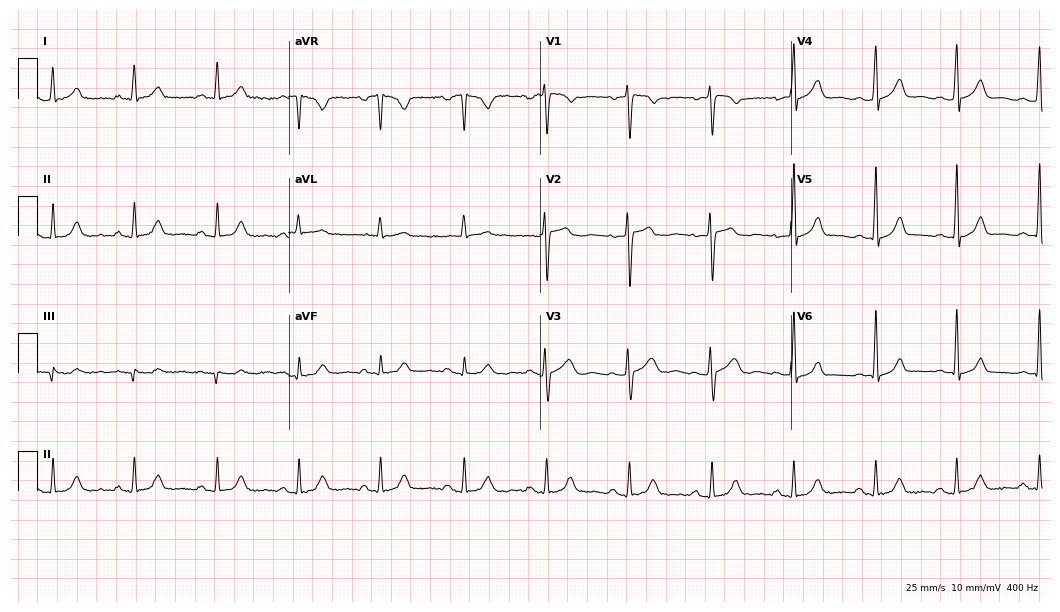
Standard 12-lead ECG recorded from a 37-year-old female. None of these six findings is recorded: first-degree AV block, right bundle branch block, left bundle branch block, sinus bradycardia, atrial fibrillation, sinus tachycardia. Findings outside these six are not listed.